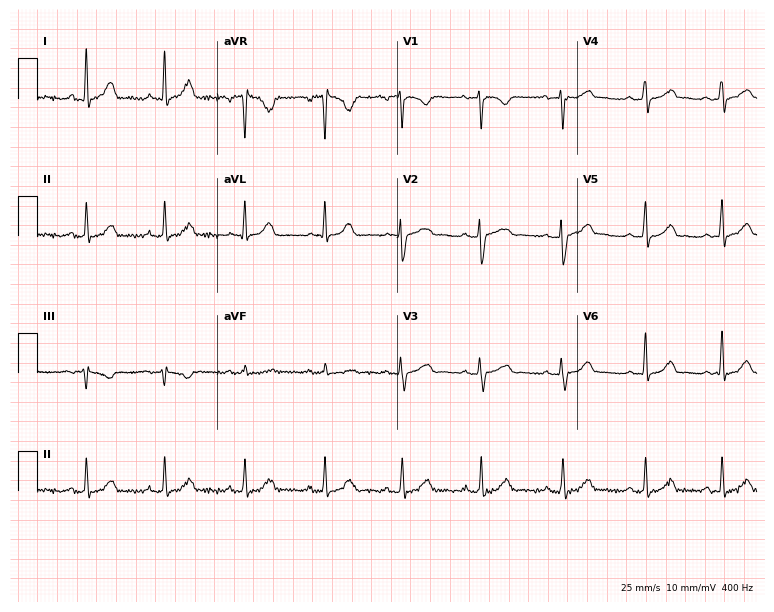
Electrocardiogram, a female patient, 33 years old. Of the six screened findings (first-degree AV block, right bundle branch block, left bundle branch block, sinus bradycardia, atrial fibrillation, sinus tachycardia), none is recorded. Only these six findings were labelled.